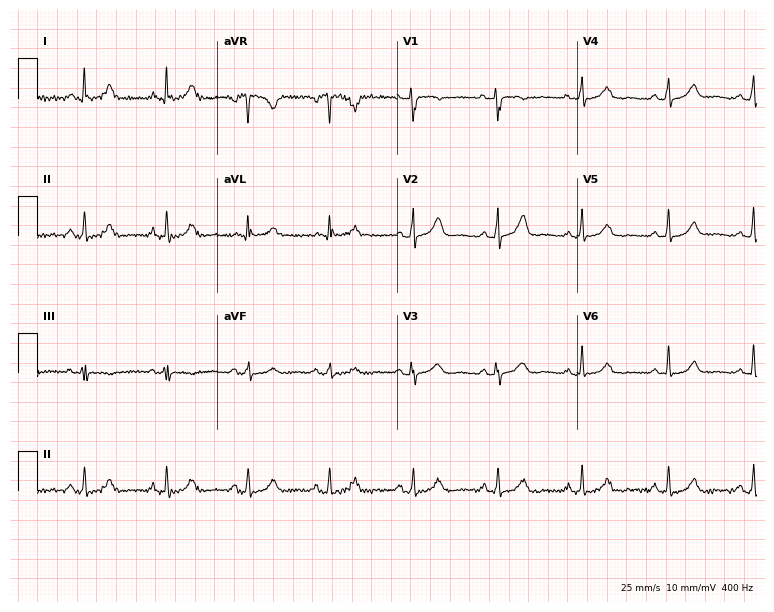
12-lead ECG from a 48-year-old female. Recorded interpretation: within normal limits.